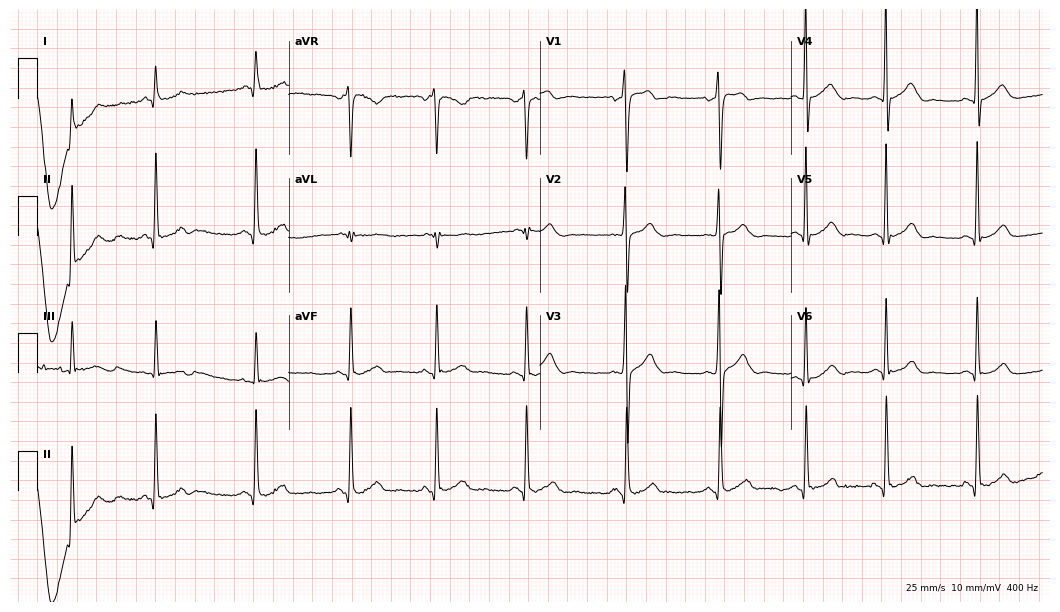
Standard 12-lead ECG recorded from a male, 21 years old. None of these six findings is recorded: first-degree AV block, right bundle branch block (RBBB), left bundle branch block (LBBB), sinus bradycardia, atrial fibrillation (AF), sinus tachycardia.